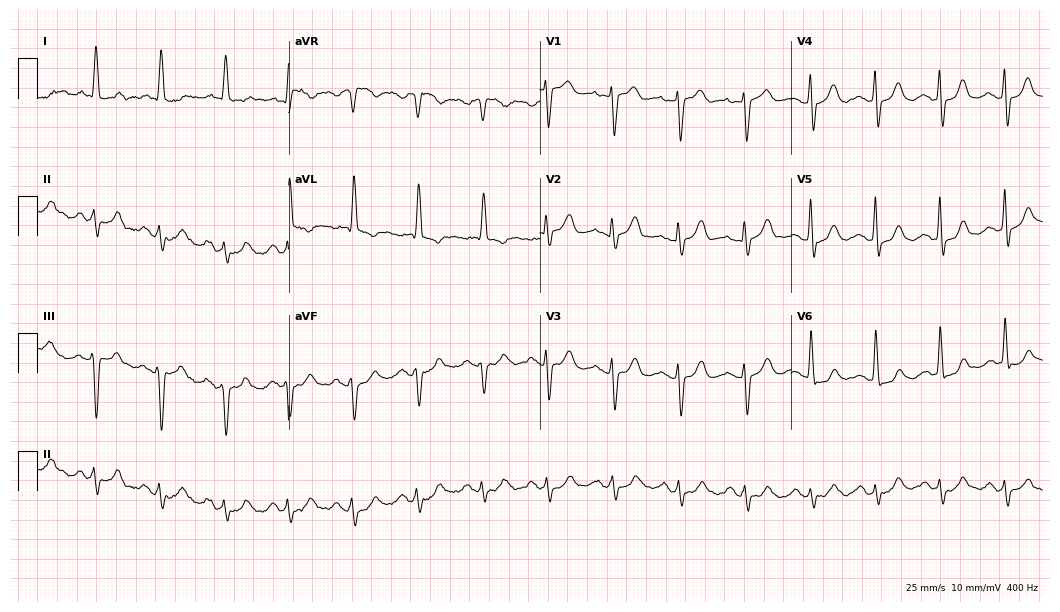
12-lead ECG from an 82-year-old female patient (10.2-second recording at 400 Hz). No first-degree AV block, right bundle branch block, left bundle branch block, sinus bradycardia, atrial fibrillation or sinus tachycardia recorded for this tracing. Findings outside these six are not listed.